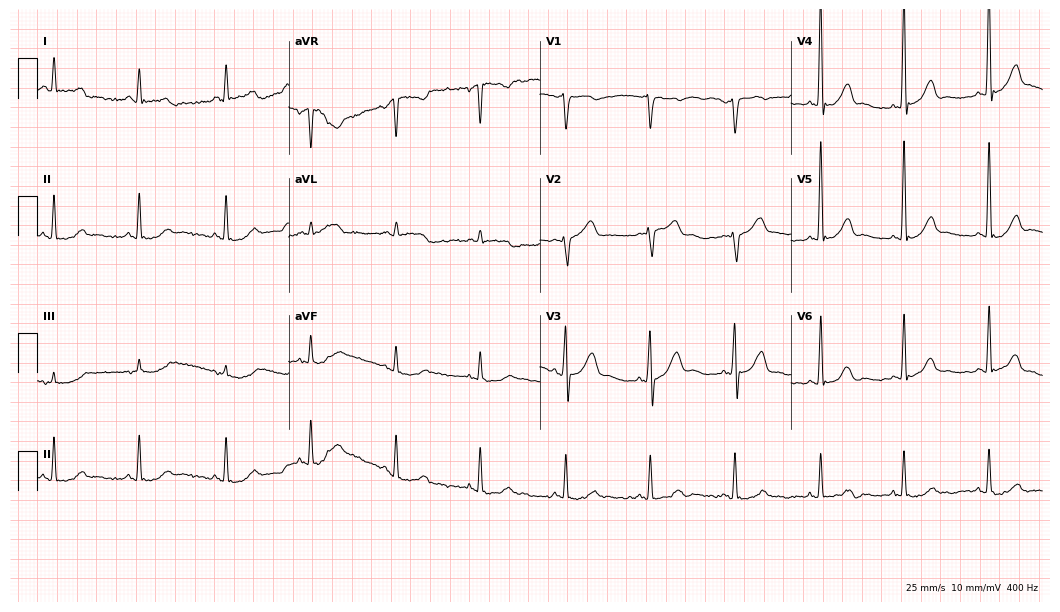
ECG (10.2-second recording at 400 Hz) — a man, 69 years old. Screened for six findings — first-degree AV block, right bundle branch block, left bundle branch block, sinus bradycardia, atrial fibrillation, sinus tachycardia — none is recorded. Only these six findings were labelled.